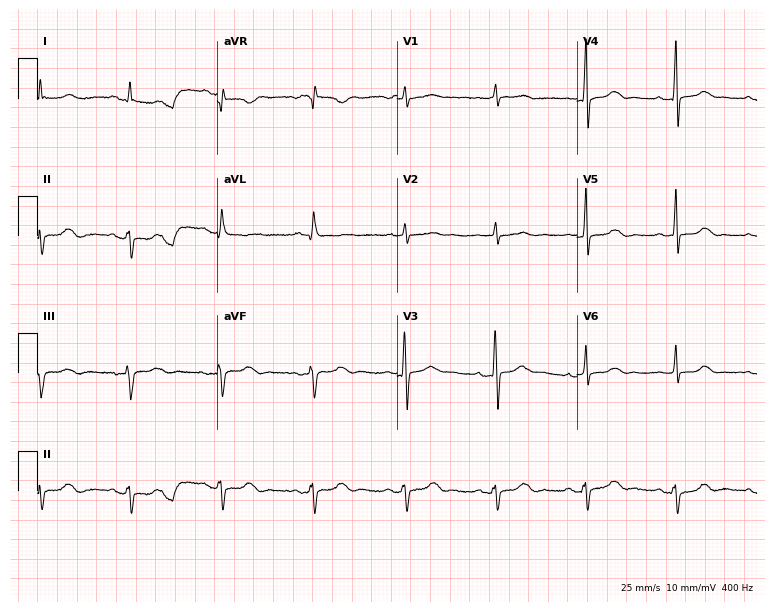
Resting 12-lead electrocardiogram. Patient: a woman, 67 years old. None of these six findings is recorded: first-degree AV block, right bundle branch block (RBBB), left bundle branch block (LBBB), sinus bradycardia, atrial fibrillation (AF), sinus tachycardia.